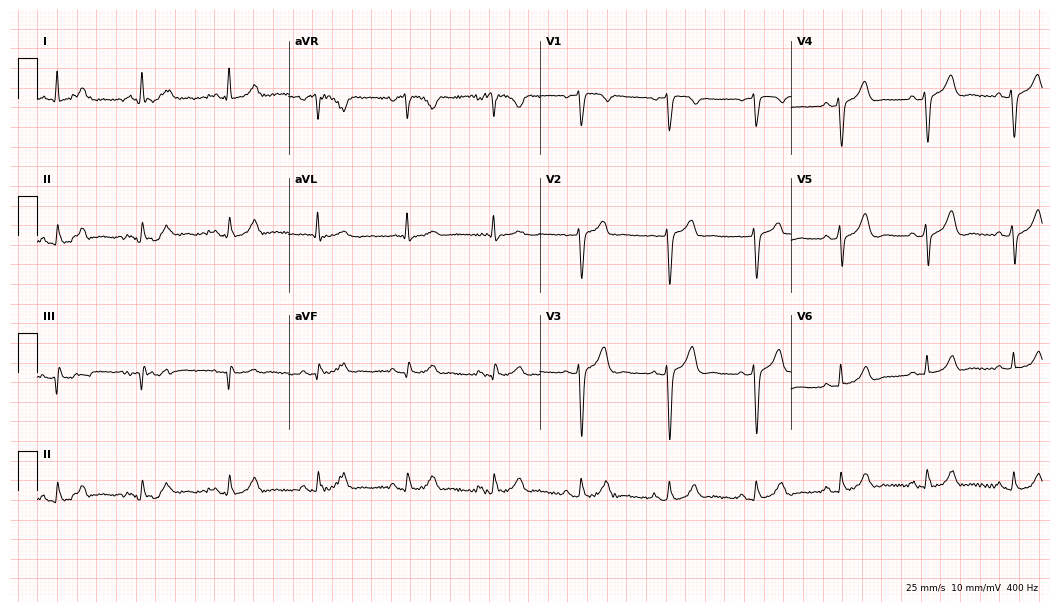
Resting 12-lead electrocardiogram. Patient: a 62-year-old male. Read as a normal ECG.